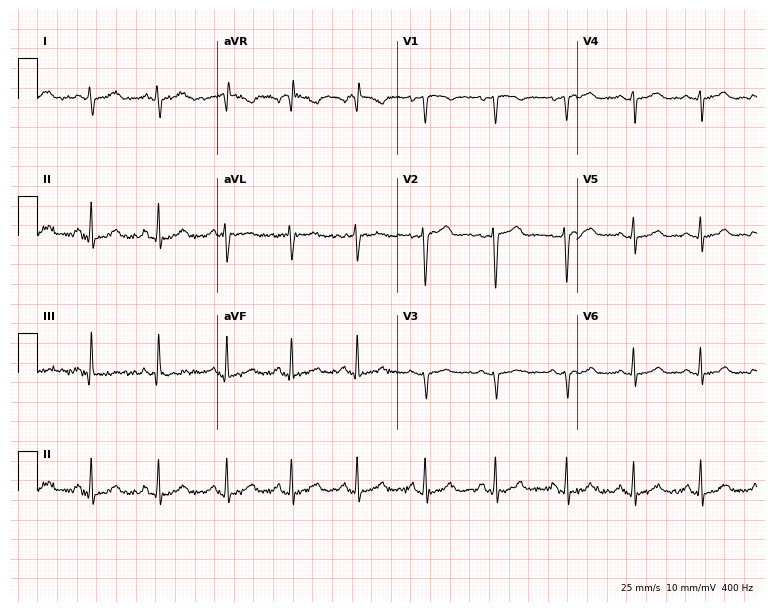
Electrocardiogram, a woman, 23 years old. Of the six screened findings (first-degree AV block, right bundle branch block (RBBB), left bundle branch block (LBBB), sinus bradycardia, atrial fibrillation (AF), sinus tachycardia), none is recorded. Only these six findings were labelled.